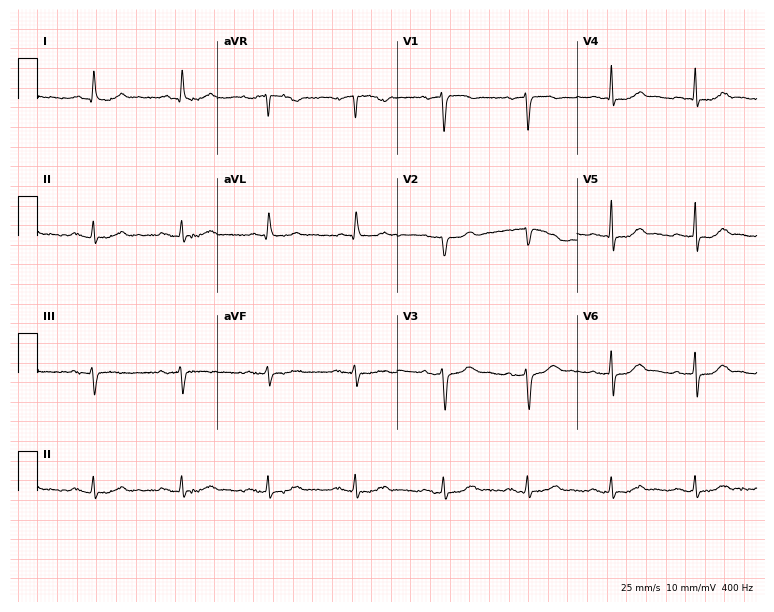
Standard 12-lead ECG recorded from a woman, 69 years old. Read as a normal ECG.